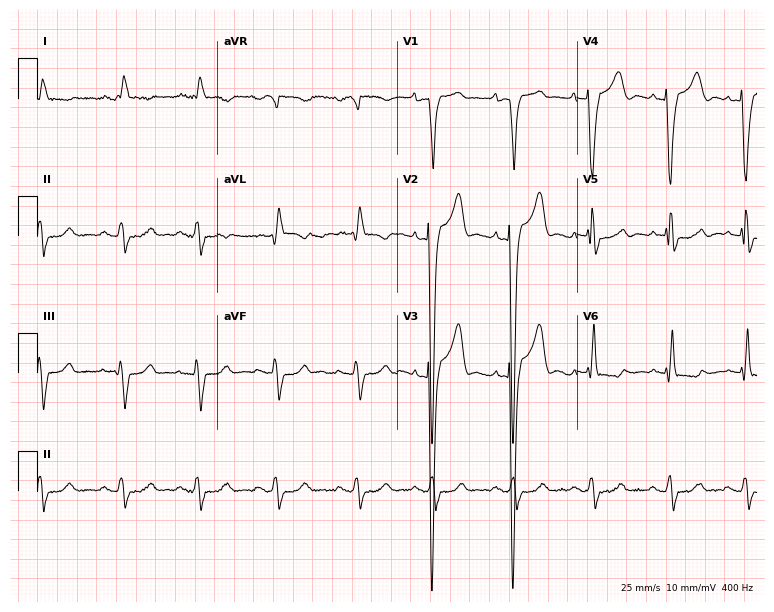
12-lead ECG (7.3-second recording at 400 Hz) from a male patient, 56 years old. Findings include left bundle branch block (LBBB).